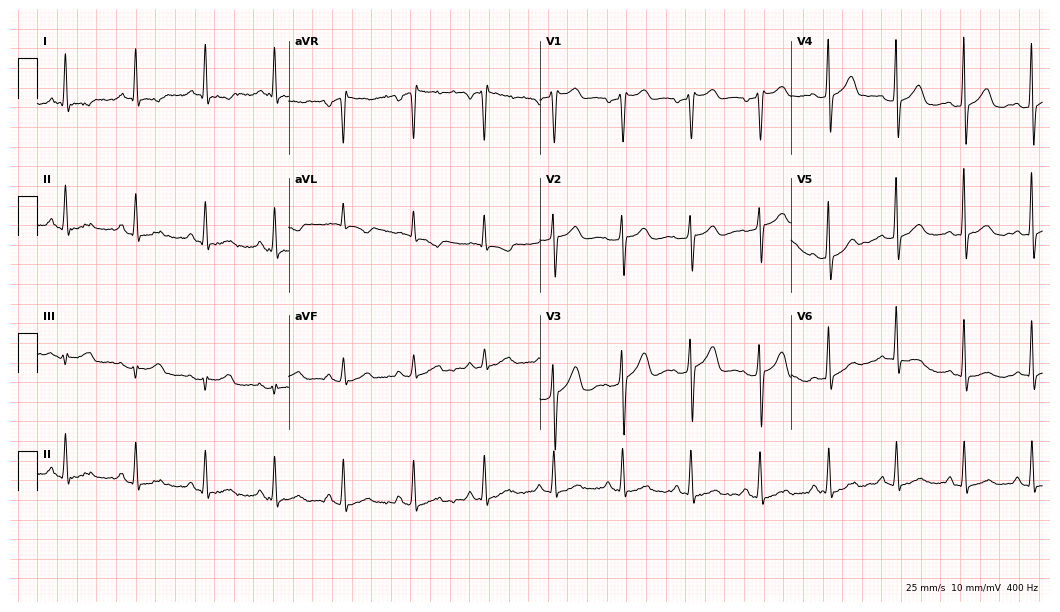
12-lead ECG (10.2-second recording at 400 Hz) from a 46-year-old female patient. Screened for six findings — first-degree AV block, right bundle branch block, left bundle branch block, sinus bradycardia, atrial fibrillation, sinus tachycardia — none is recorded. Only these six findings were labelled.